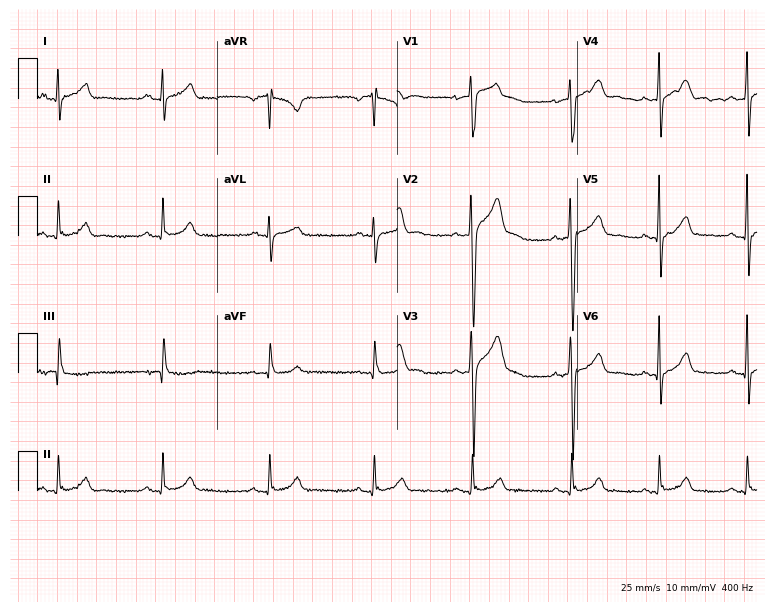
12-lead ECG from a man, 34 years old (7.3-second recording at 400 Hz). Recorded interpretation: within normal limits.